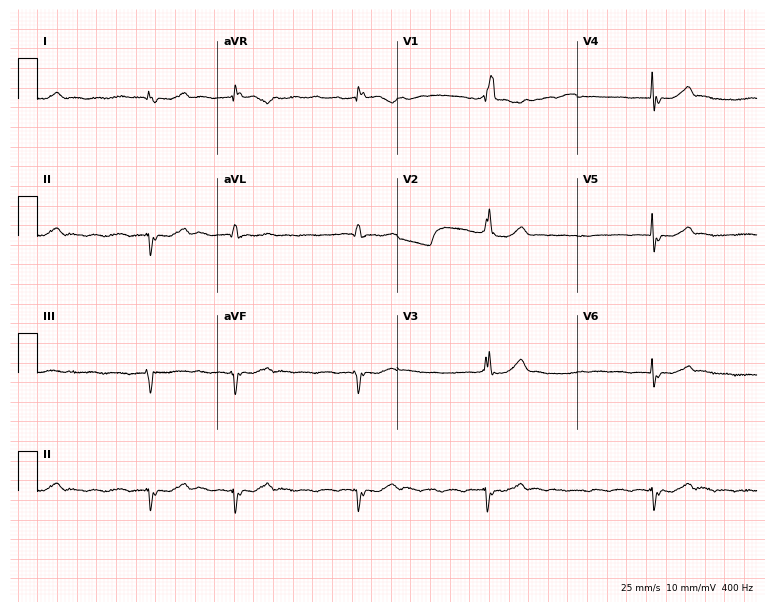
Electrocardiogram (7.3-second recording at 400 Hz), a female patient, 81 years old. Of the six screened findings (first-degree AV block, right bundle branch block, left bundle branch block, sinus bradycardia, atrial fibrillation, sinus tachycardia), none is recorded. Other findings, if any, are not listed.